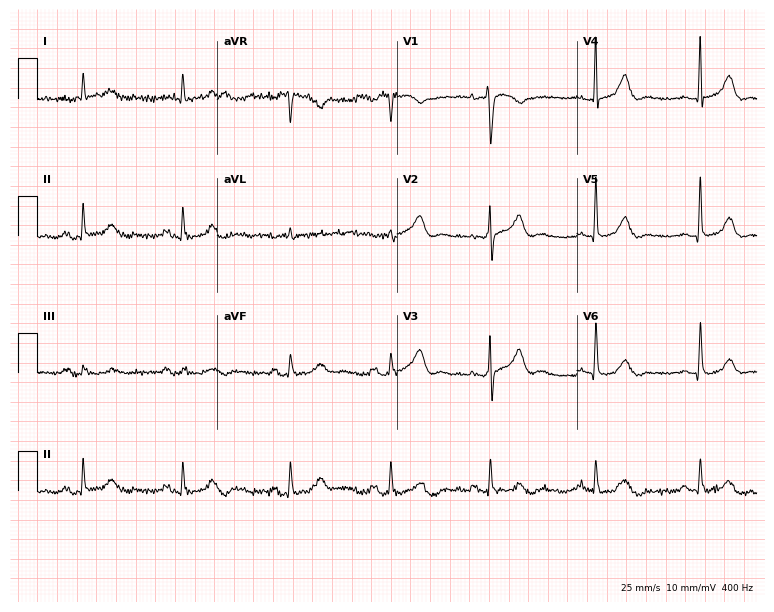
12-lead ECG from an 86-year-old man (7.3-second recording at 400 Hz). Recorded interpretation: within normal limits.